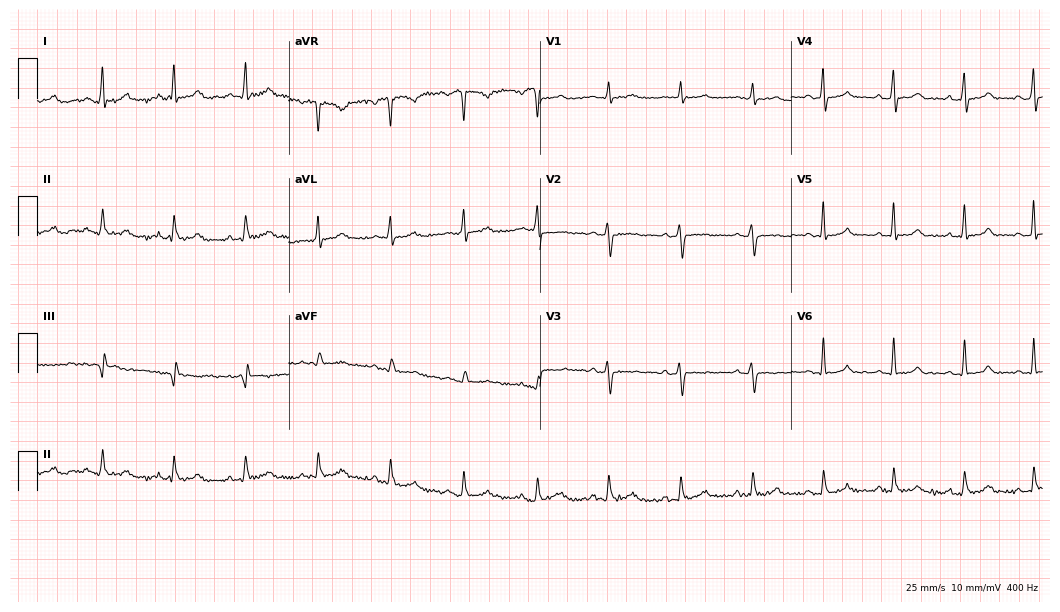
Standard 12-lead ECG recorded from a 39-year-old woman. None of these six findings is recorded: first-degree AV block, right bundle branch block (RBBB), left bundle branch block (LBBB), sinus bradycardia, atrial fibrillation (AF), sinus tachycardia. Other findings, if any, are not listed.